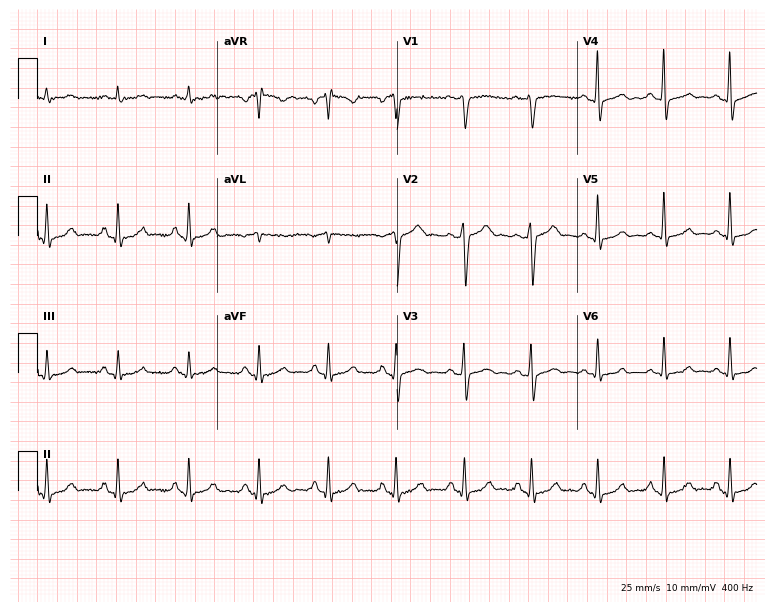
Resting 12-lead electrocardiogram (7.3-second recording at 400 Hz). Patient: a male, 59 years old. Read as a normal ECG.